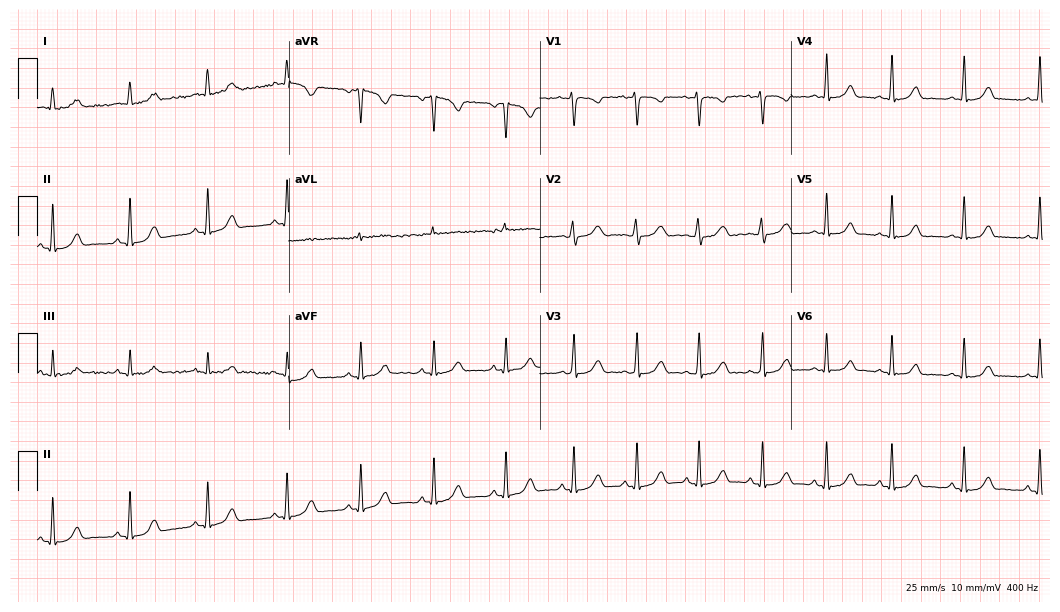
Standard 12-lead ECG recorded from a 21-year-old female patient. Read as a normal ECG.